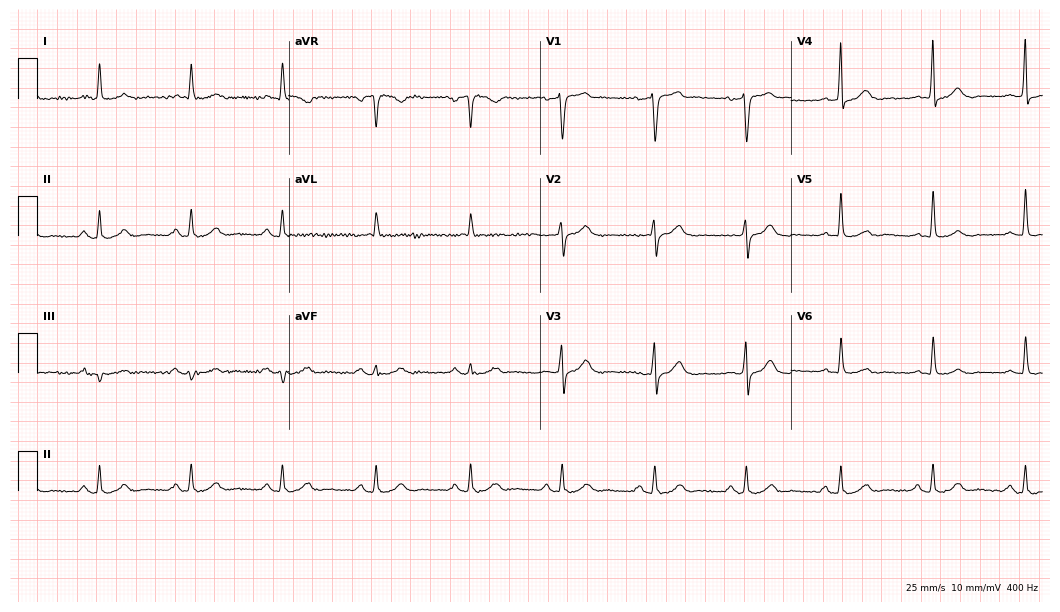
12-lead ECG from a man, 54 years old. Recorded interpretation: within normal limits.